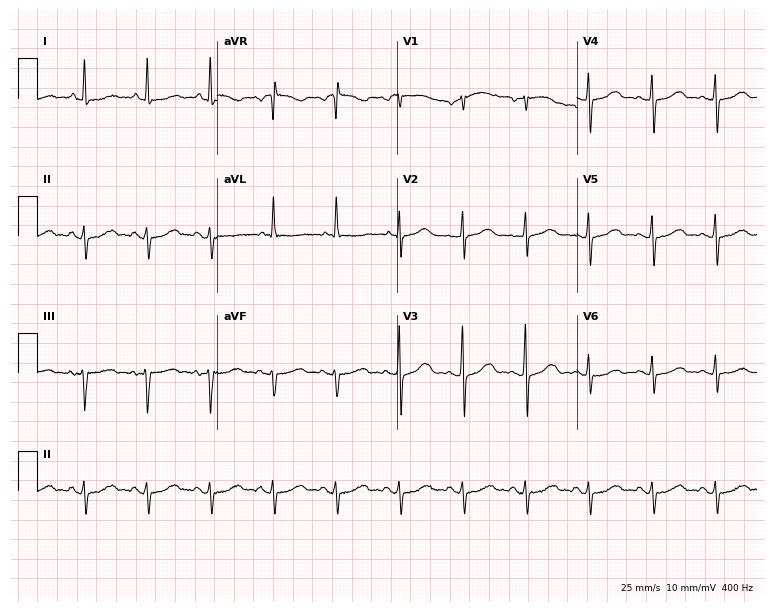
12-lead ECG from a female, 76 years old. Screened for six findings — first-degree AV block, right bundle branch block (RBBB), left bundle branch block (LBBB), sinus bradycardia, atrial fibrillation (AF), sinus tachycardia — none is recorded. Other findings, if any, are not listed.